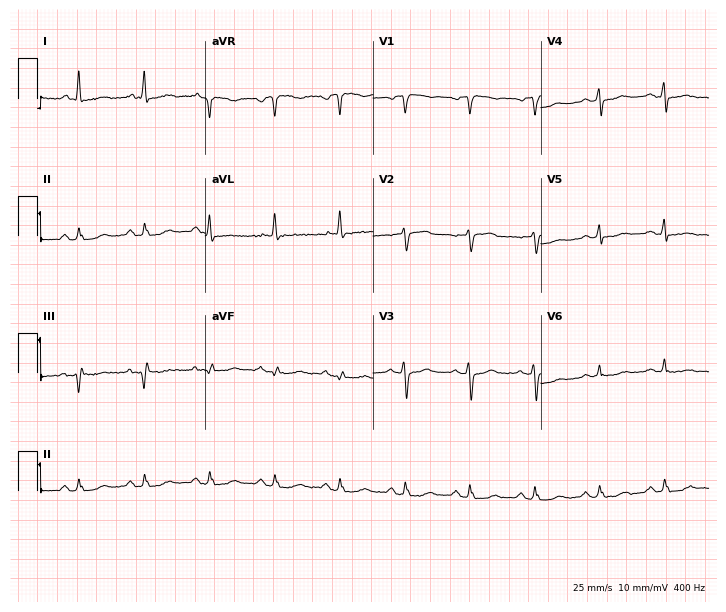
Standard 12-lead ECG recorded from a woman, 67 years old. None of these six findings is recorded: first-degree AV block, right bundle branch block, left bundle branch block, sinus bradycardia, atrial fibrillation, sinus tachycardia.